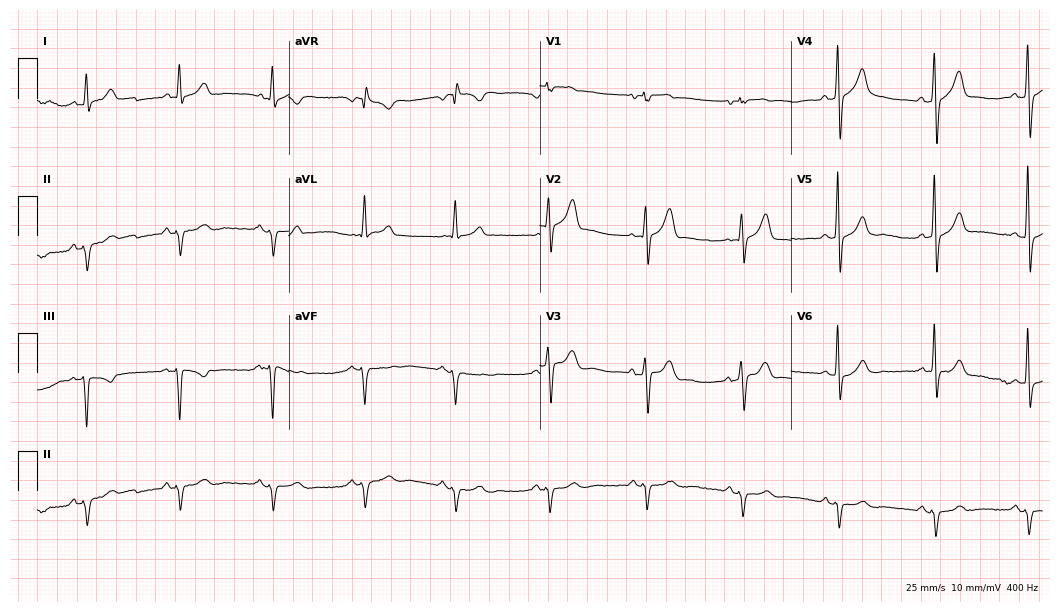
12-lead ECG from a male, 70 years old. Screened for six findings — first-degree AV block, right bundle branch block, left bundle branch block, sinus bradycardia, atrial fibrillation, sinus tachycardia — none is recorded.